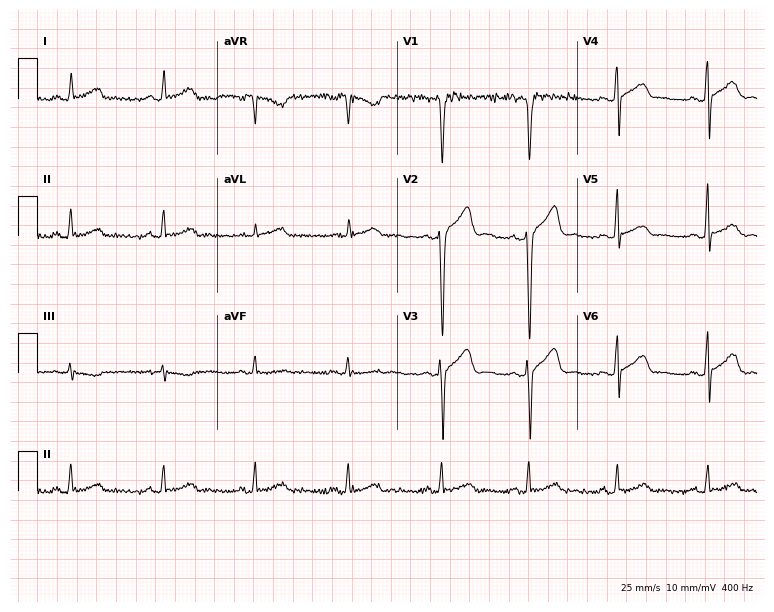
Standard 12-lead ECG recorded from a male patient, 29 years old (7.3-second recording at 400 Hz). None of these six findings is recorded: first-degree AV block, right bundle branch block (RBBB), left bundle branch block (LBBB), sinus bradycardia, atrial fibrillation (AF), sinus tachycardia.